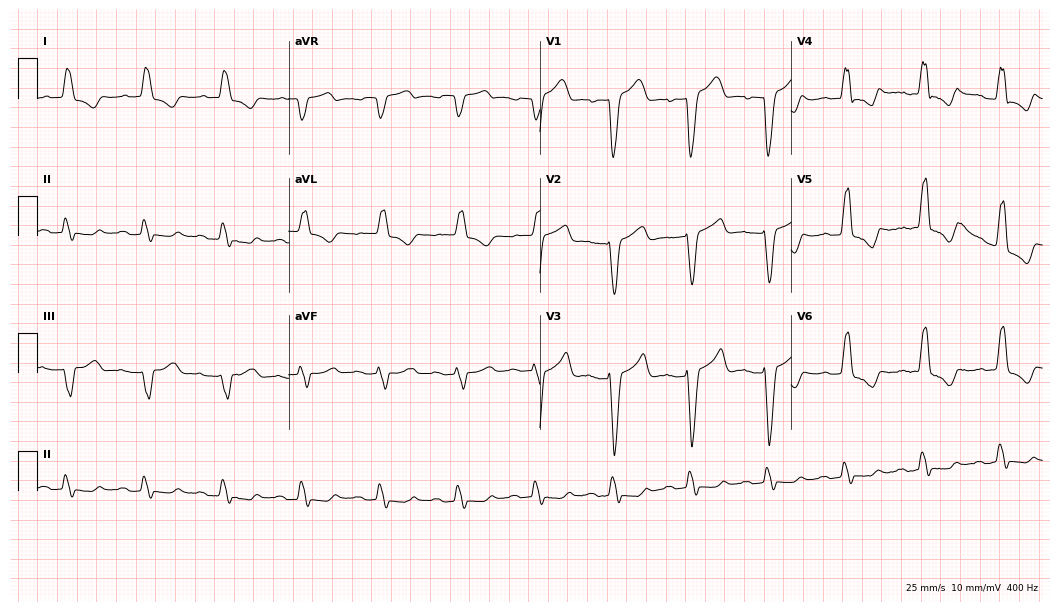
12-lead ECG from a male patient, 80 years old. Findings include first-degree AV block, left bundle branch block.